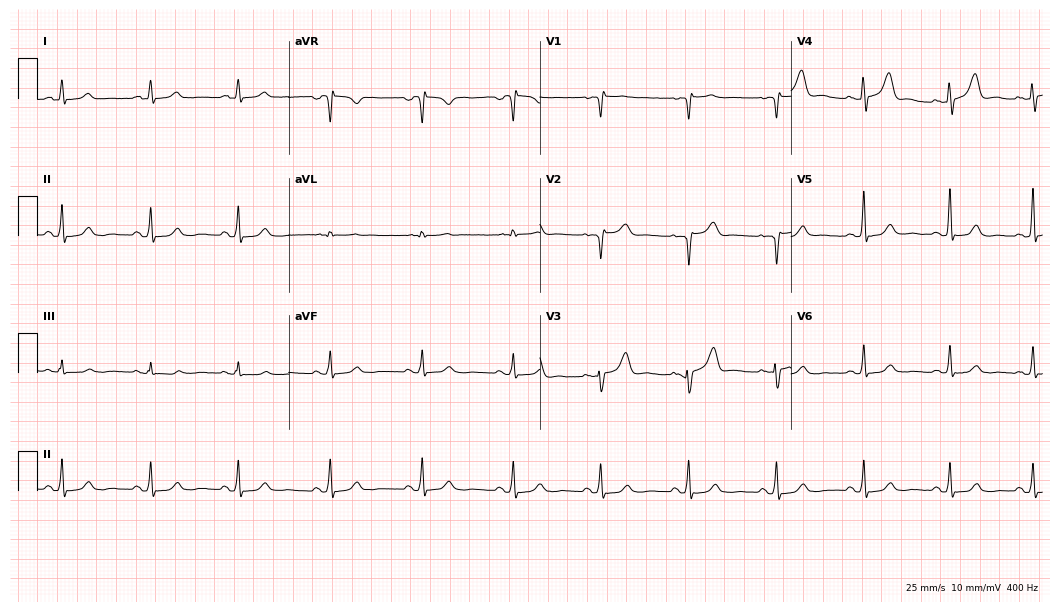
12-lead ECG (10.2-second recording at 400 Hz) from a 40-year-old female patient. Screened for six findings — first-degree AV block, right bundle branch block, left bundle branch block, sinus bradycardia, atrial fibrillation, sinus tachycardia — none is recorded. Other findings, if any, are not listed.